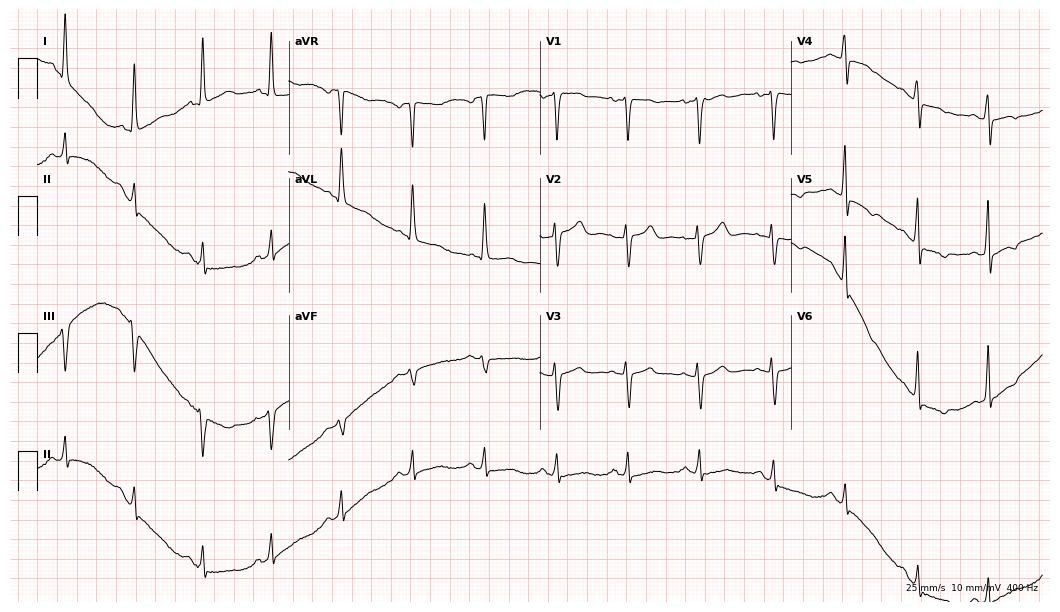
Electrocardiogram, a 53-year-old female. Of the six screened findings (first-degree AV block, right bundle branch block (RBBB), left bundle branch block (LBBB), sinus bradycardia, atrial fibrillation (AF), sinus tachycardia), none is recorded. Findings outside these six are not listed.